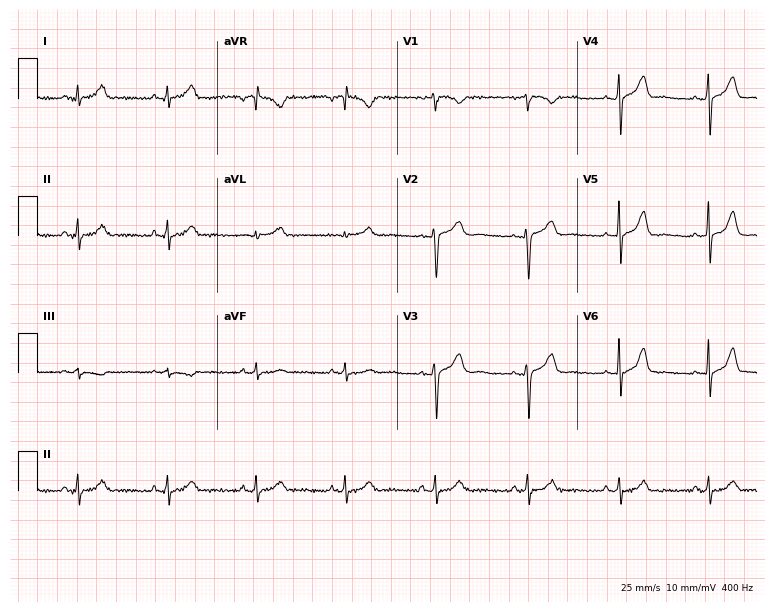
Electrocardiogram (7.3-second recording at 400 Hz), a female, 31 years old. Of the six screened findings (first-degree AV block, right bundle branch block, left bundle branch block, sinus bradycardia, atrial fibrillation, sinus tachycardia), none is recorded.